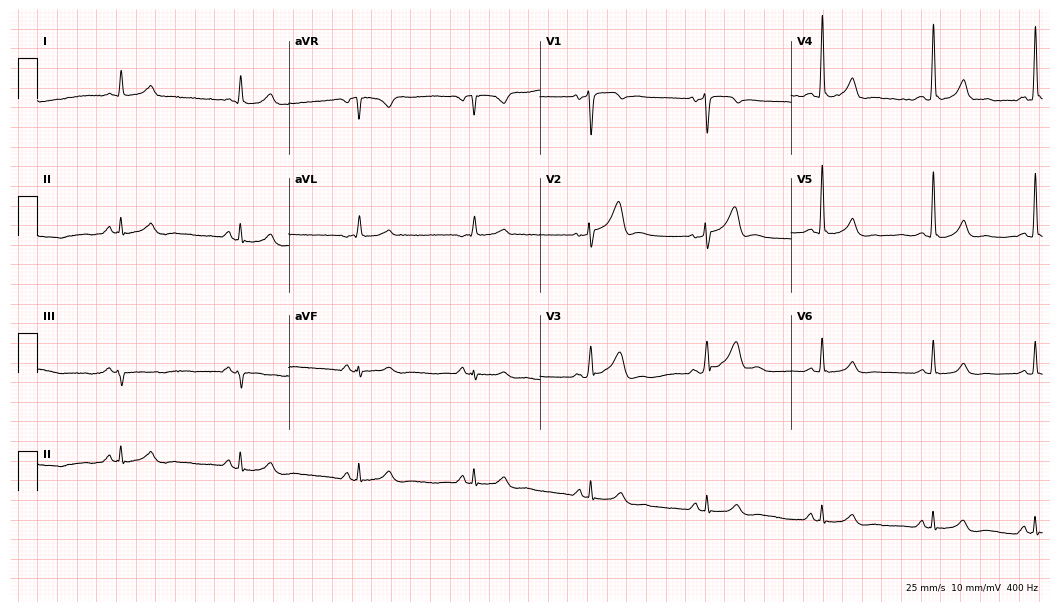
12-lead ECG from a male patient, 53 years old. Labelled as a normal ECG.